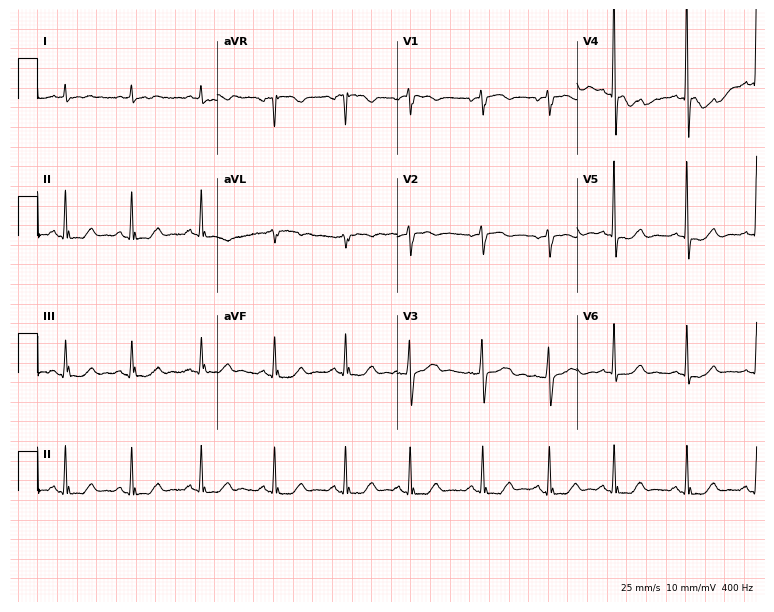
12-lead ECG from a female, 81 years old. No first-degree AV block, right bundle branch block, left bundle branch block, sinus bradycardia, atrial fibrillation or sinus tachycardia recorded for this tracing.